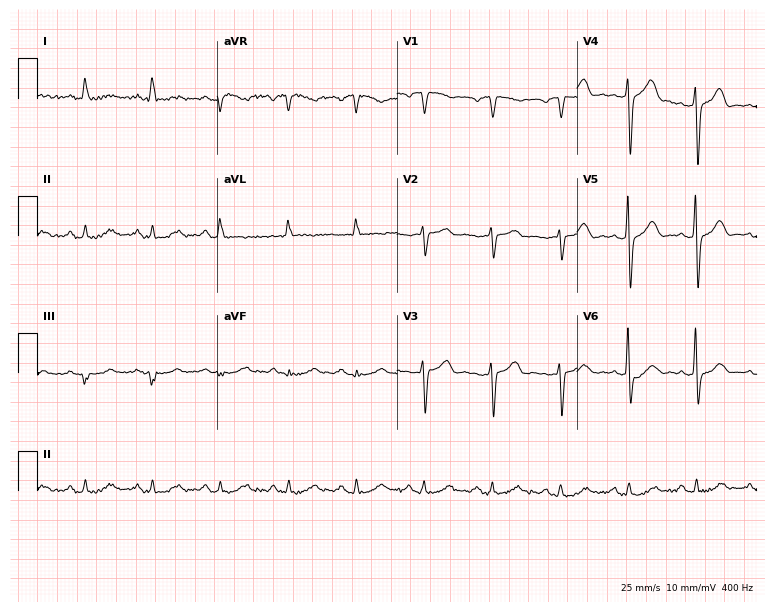
Resting 12-lead electrocardiogram. Patient: a 75-year-old woman. None of these six findings is recorded: first-degree AV block, right bundle branch block (RBBB), left bundle branch block (LBBB), sinus bradycardia, atrial fibrillation (AF), sinus tachycardia.